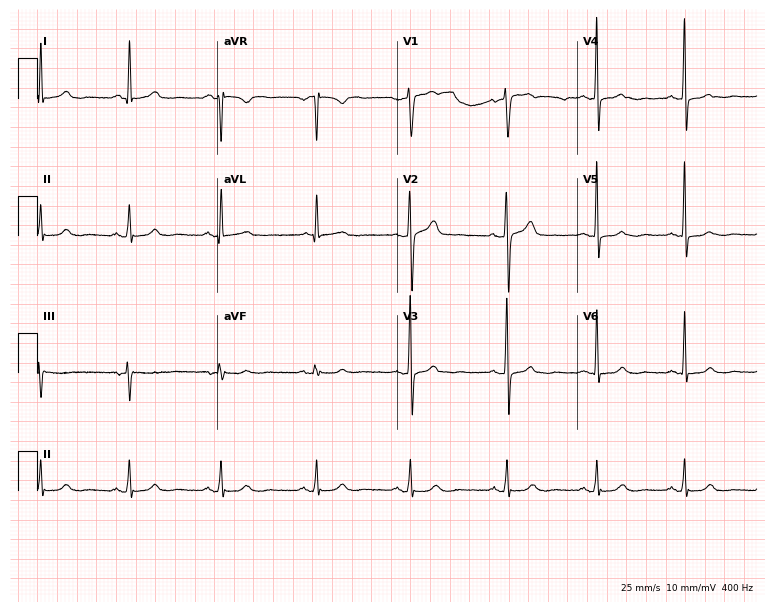
Electrocardiogram (7.3-second recording at 400 Hz), a 49-year-old man. Of the six screened findings (first-degree AV block, right bundle branch block, left bundle branch block, sinus bradycardia, atrial fibrillation, sinus tachycardia), none is recorded. Other findings, if any, are not listed.